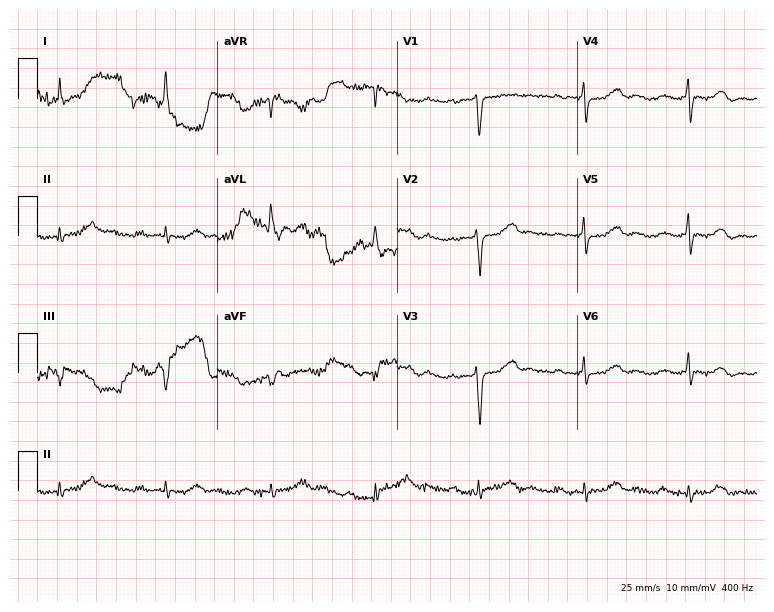
Standard 12-lead ECG recorded from an 84-year-old female. None of these six findings is recorded: first-degree AV block, right bundle branch block, left bundle branch block, sinus bradycardia, atrial fibrillation, sinus tachycardia. Only these six findings were labelled.